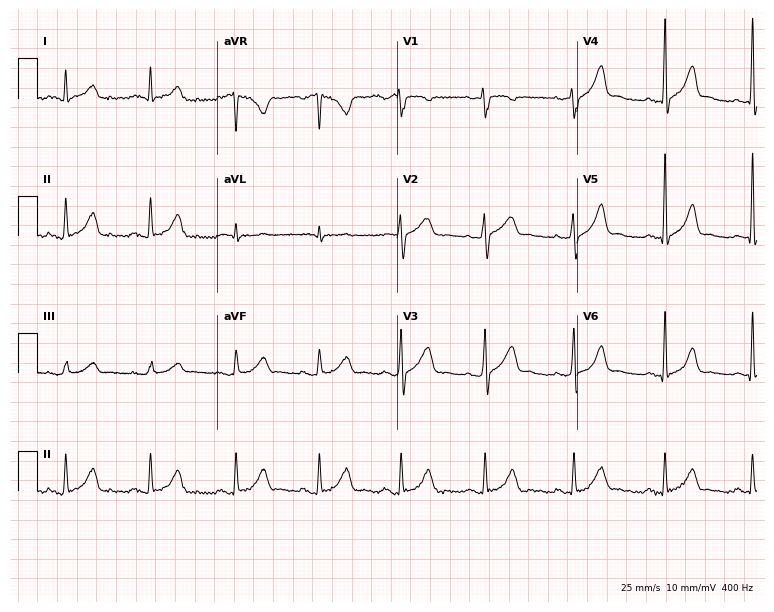
ECG — a male patient, 42 years old. Screened for six findings — first-degree AV block, right bundle branch block, left bundle branch block, sinus bradycardia, atrial fibrillation, sinus tachycardia — none is recorded.